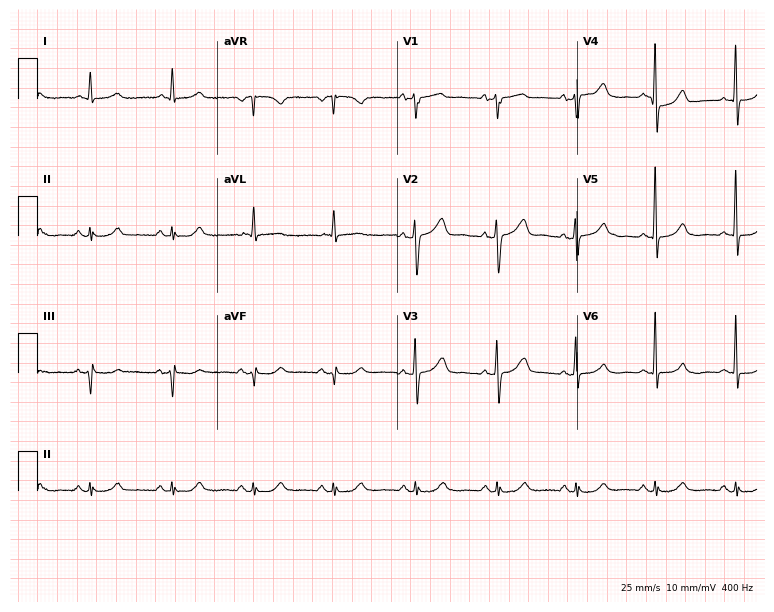
Electrocardiogram (7.3-second recording at 400 Hz), a male, 81 years old. Overall reading on record: normal ECG.